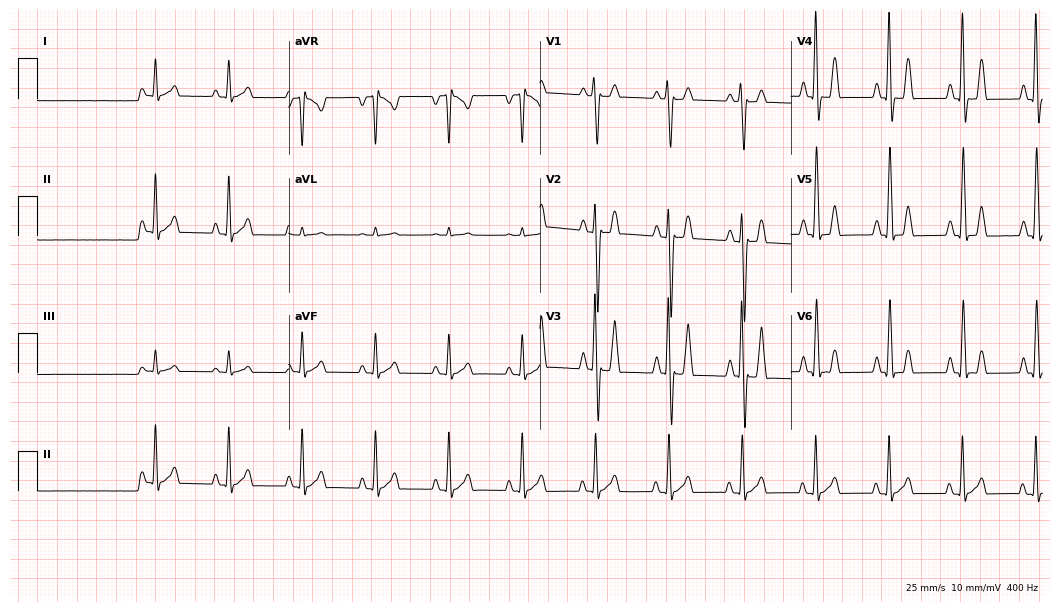
Standard 12-lead ECG recorded from a male patient, 29 years old. None of these six findings is recorded: first-degree AV block, right bundle branch block (RBBB), left bundle branch block (LBBB), sinus bradycardia, atrial fibrillation (AF), sinus tachycardia. Only these six findings were labelled.